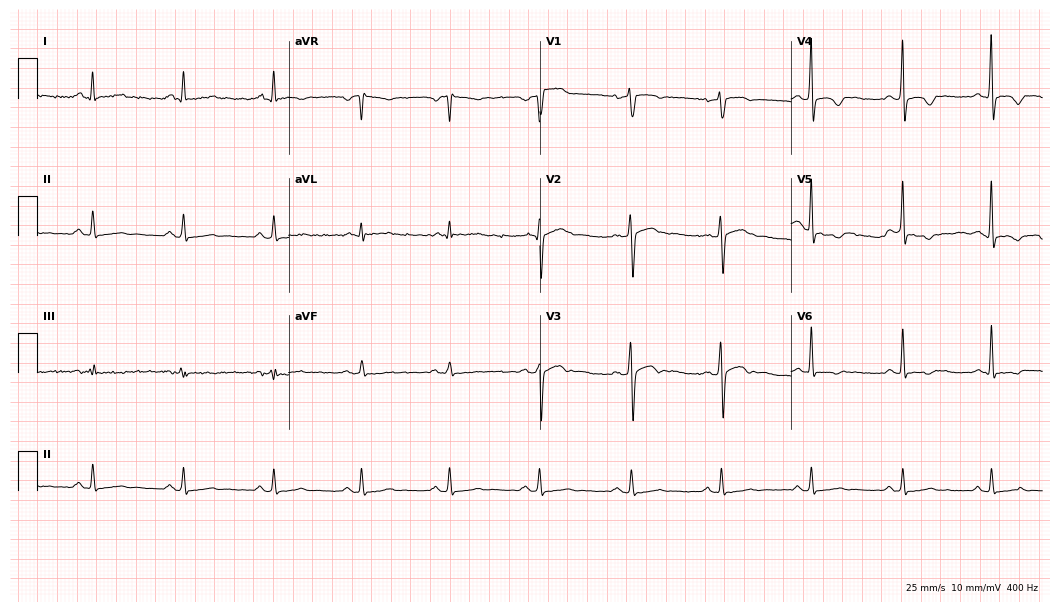
Resting 12-lead electrocardiogram. Patient: a 46-year-old male. None of these six findings is recorded: first-degree AV block, right bundle branch block, left bundle branch block, sinus bradycardia, atrial fibrillation, sinus tachycardia.